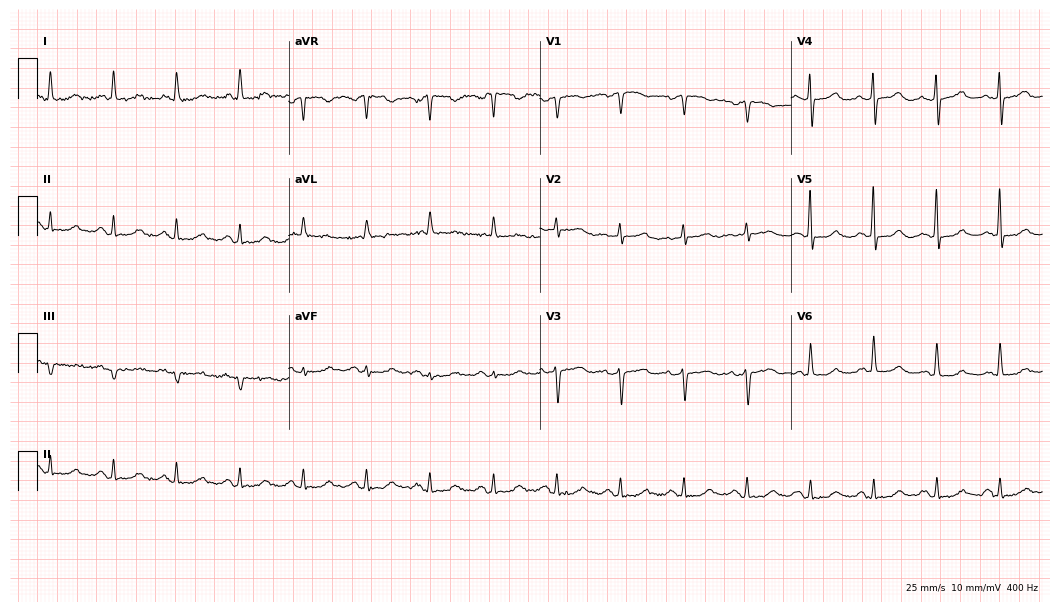
12-lead ECG from a female, 77 years old. Labelled as a normal ECG.